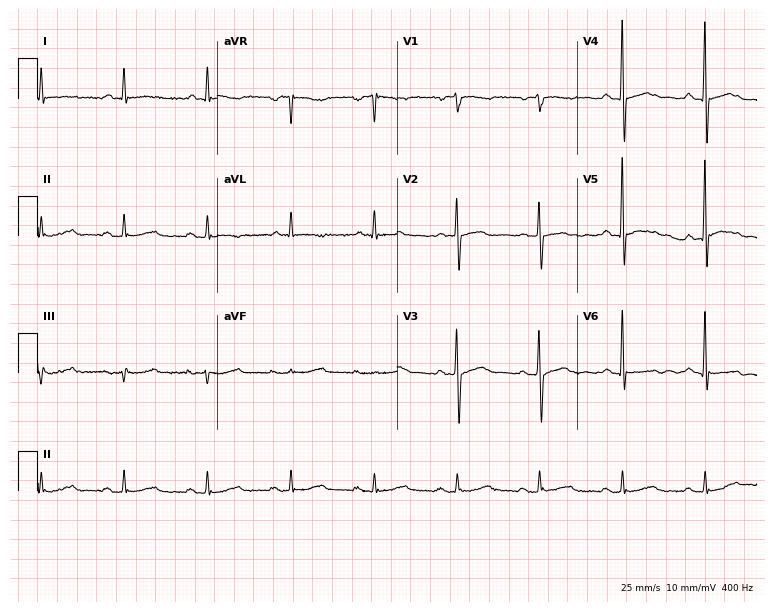
Resting 12-lead electrocardiogram (7.3-second recording at 400 Hz). Patient: an 84-year-old male. None of these six findings is recorded: first-degree AV block, right bundle branch block, left bundle branch block, sinus bradycardia, atrial fibrillation, sinus tachycardia.